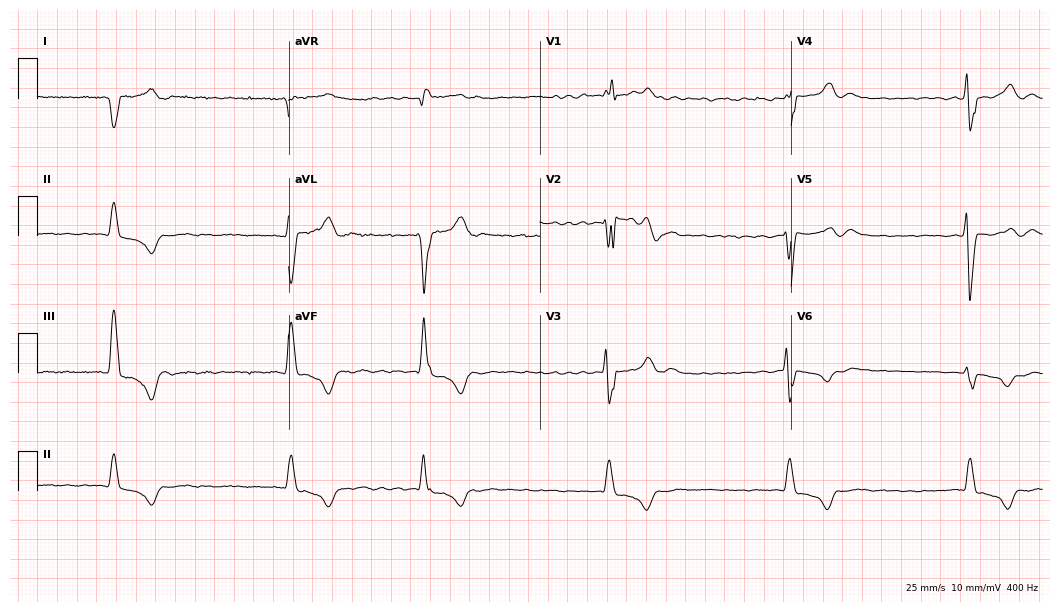
12-lead ECG from an 81-year-old female patient. Shows atrial fibrillation.